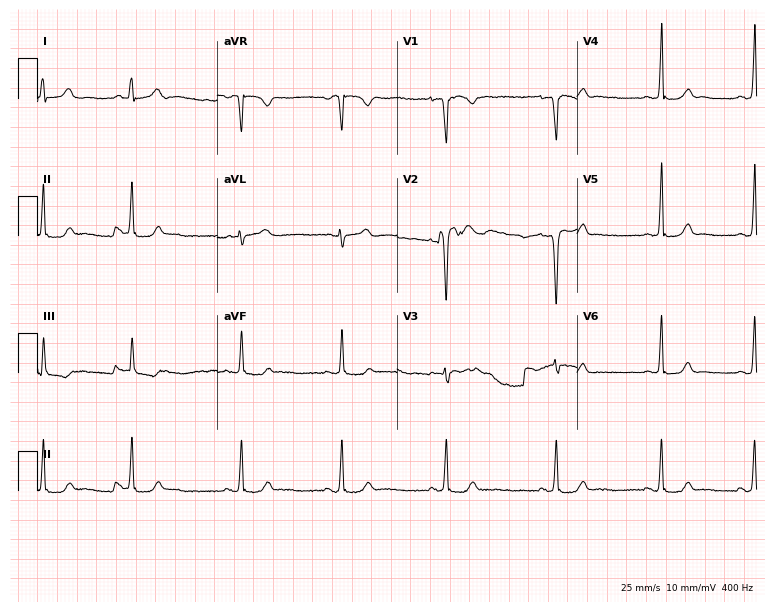
Resting 12-lead electrocardiogram. Patient: a 23-year-old woman. None of these six findings is recorded: first-degree AV block, right bundle branch block, left bundle branch block, sinus bradycardia, atrial fibrillation, sinus tachycardia. Findings outside these six are not listed.